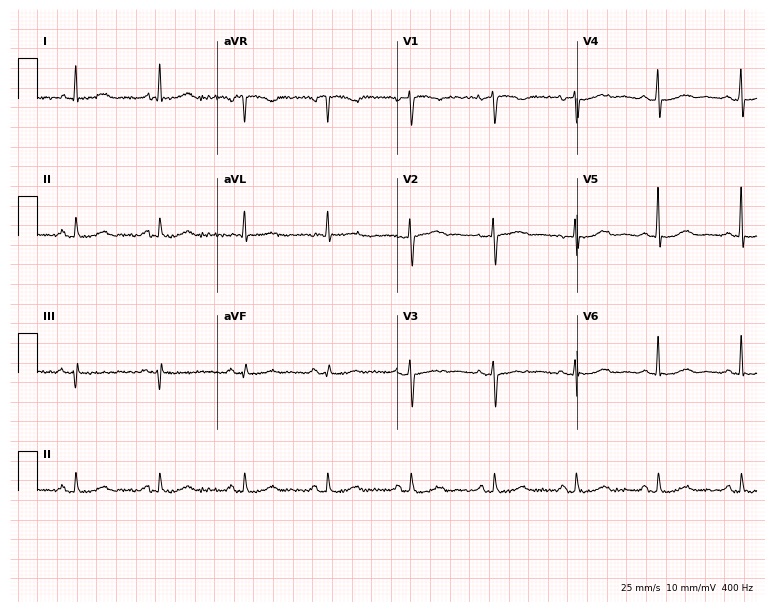
Standard 12-lead ECG recorded from a 61-year-old female patient. Read as a normal ECG.